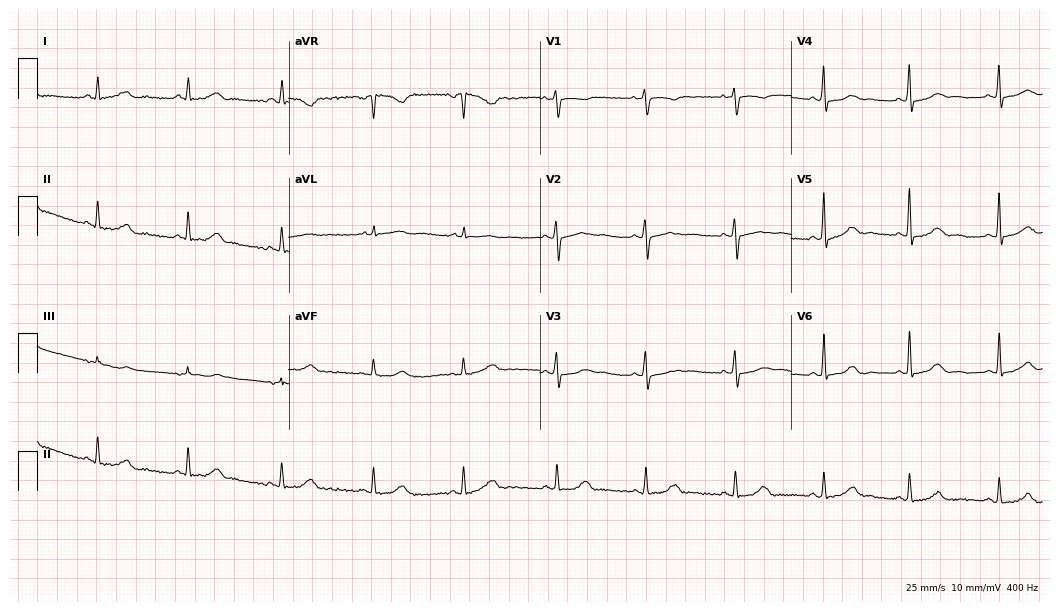
12-lead ECG from a 40-year-old female patient. Labelled as a normal ECG.